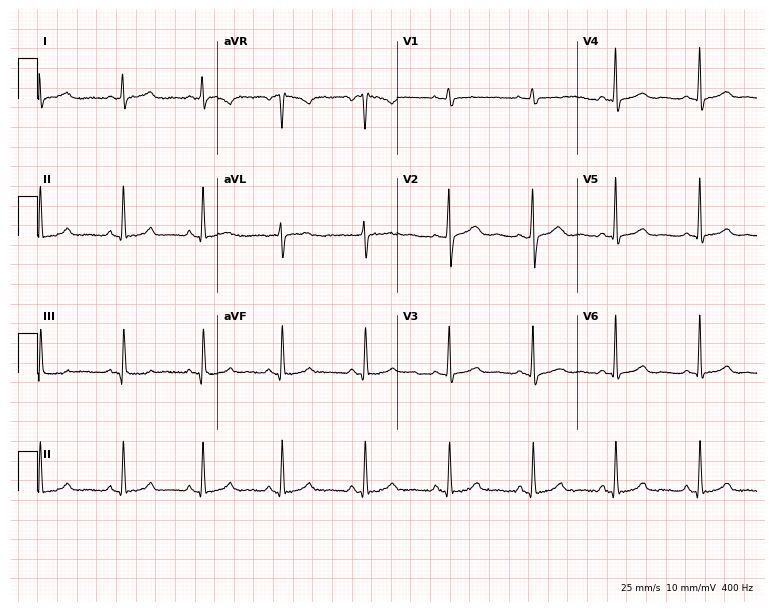
Resting 12-lead electrocardiogram. Patient: a 39-year-old female. Read as a normal ECG.